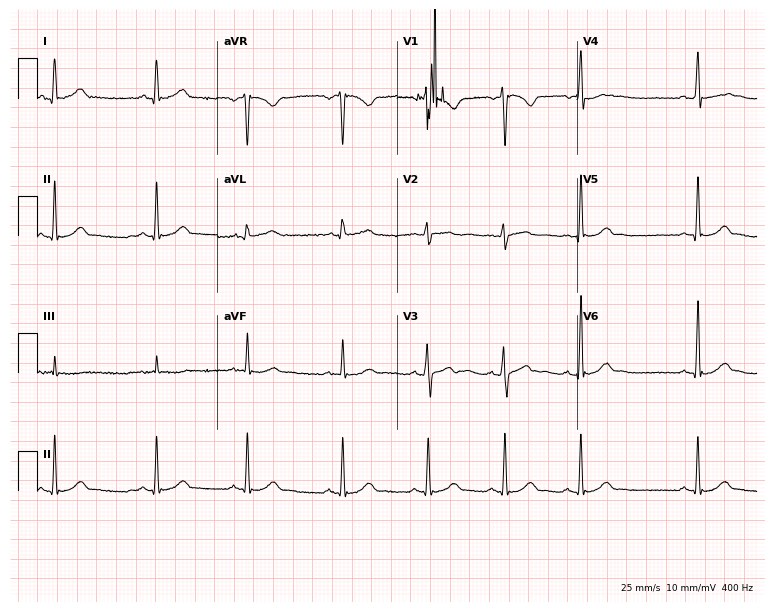
Standard 12-lead ECG recorded from a 27-year-old female patient. Read as a normal ECG.